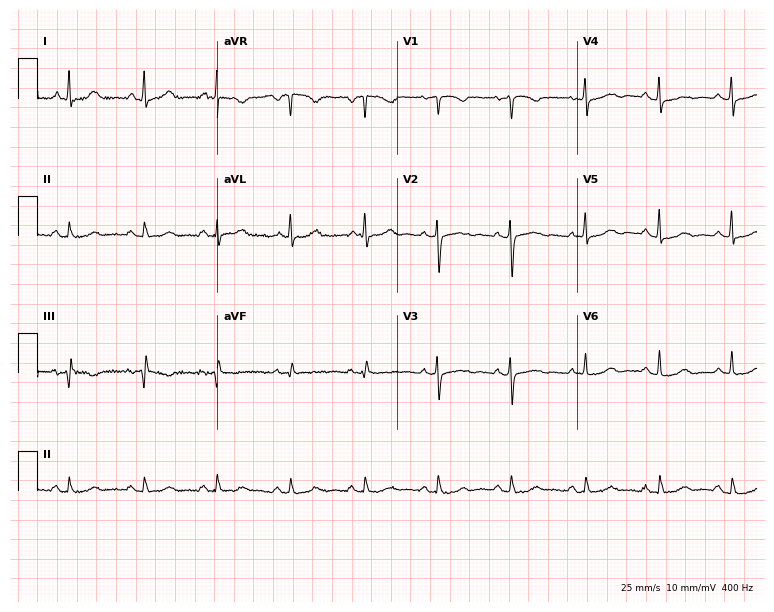
12-lead ECG (7.3-second recording at 400 Hz) from a woman, 56 years old. Screened for six findings — first-degree AV block, right bundle branch block (RBBB), left bundle branch block (LBBB), sinus bradycardia, atrial fibrillation (AF), sinus tachycardia — none is recorded. Only these six findings were labelled.